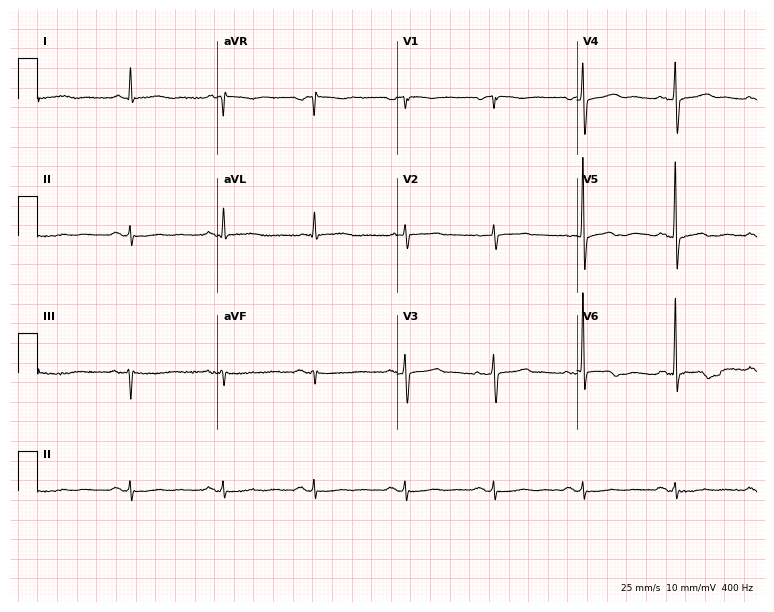
12-lead ECG from a female, 77 years old. No first-degree AV block, right bundle branch block, left bundle branch block, sinus bradycardia, atrial fibrillation or sinus tachycardia recorded for this tracing.